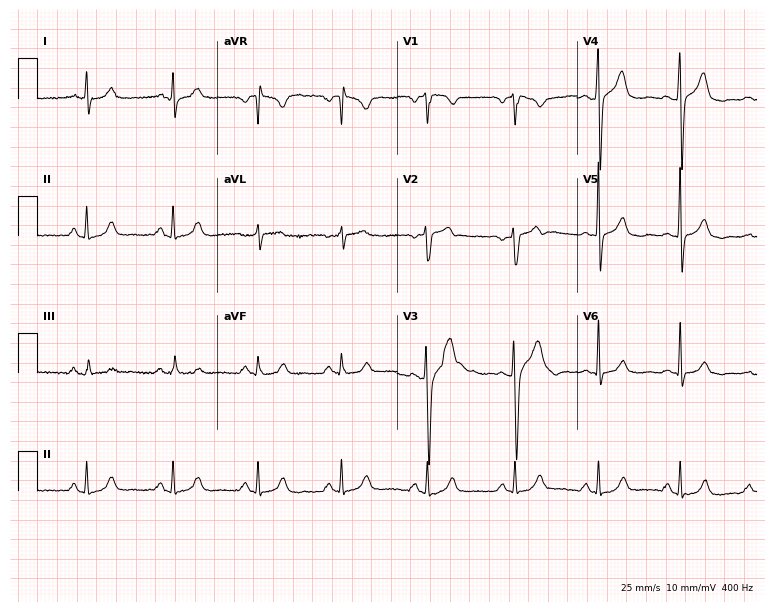
12-lead ECG (7.3-second recording at 400 Hz) from a 37-year-old male. Labelled as a normal ECG.